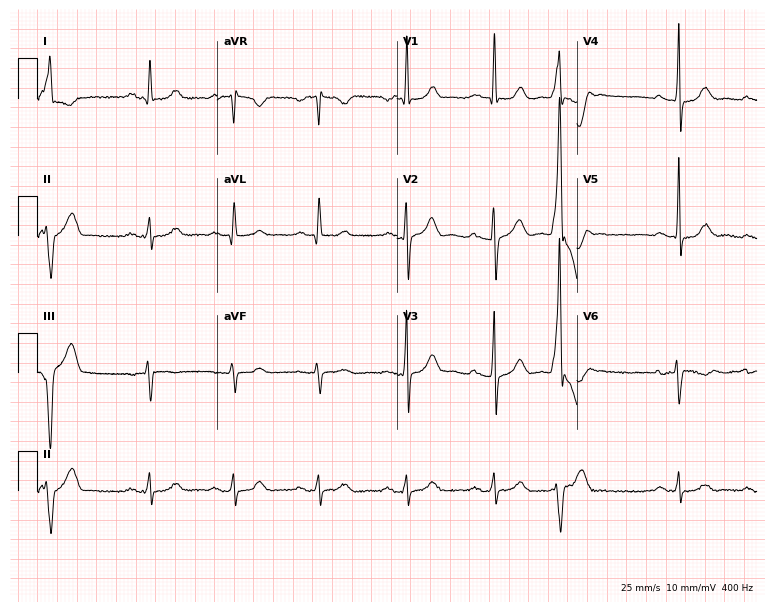
ECG — a 70-year-old female. Screened for six findings — first-degree AV block, right bundle branch block (RBBB), left bundle branch block (LBBB), sinus bradycardia, atrial fibrillation (AF), sinus tachycardia — none is recorded. Other findings, if any, are not listed.